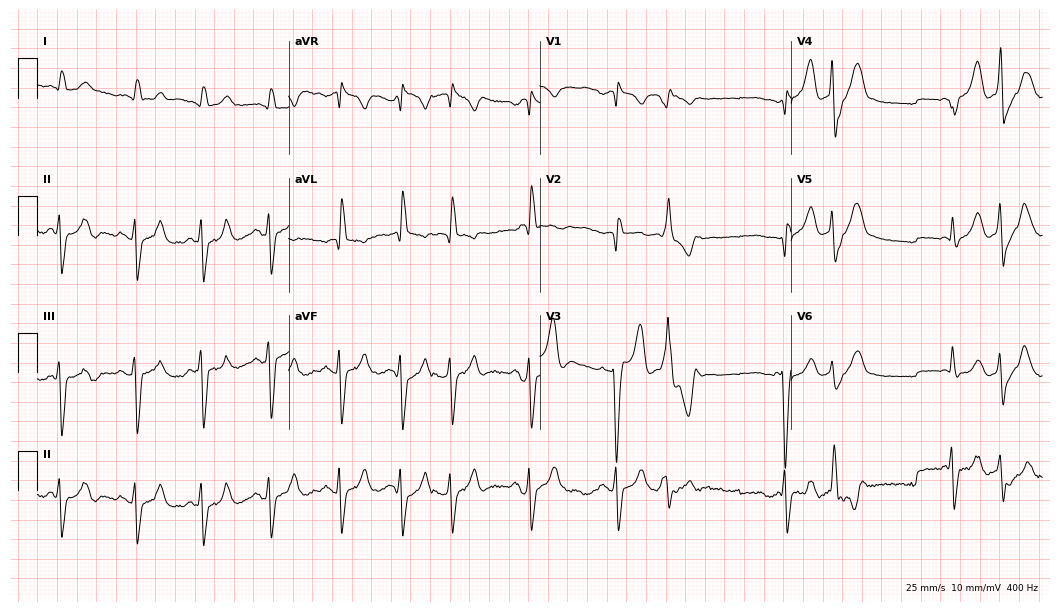
12-lead ECG from a male patient, 62 years old (10.2-second recording at 400 Hz). No first-degree AV block, right bundle branch block, left bundle branch block, sinus bradycardia, atrial fibrillation or sinus tachycardia recorded for this tracing. Findings outside these six are not listed.